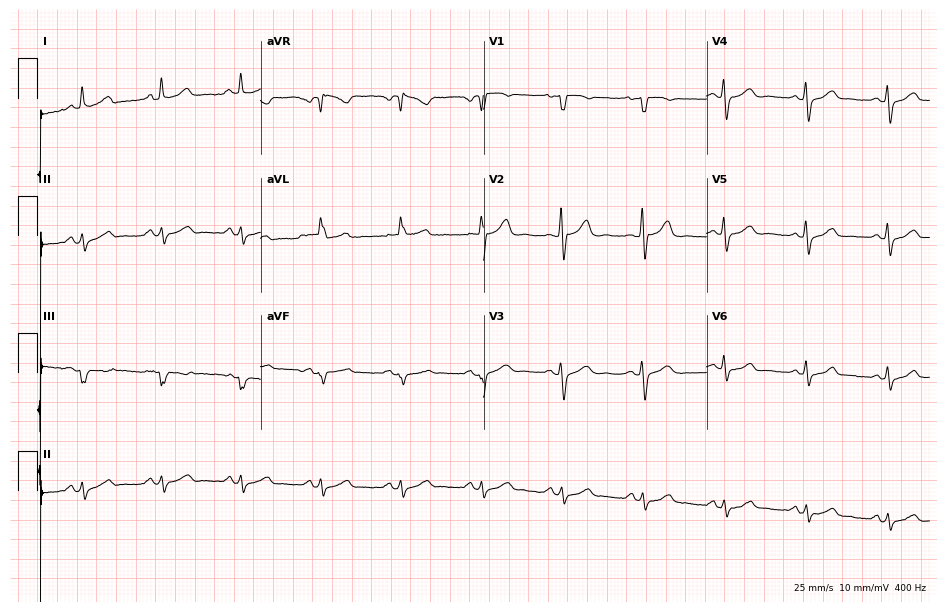
12-lead ECG from a 65-year-old woman. No first-degree AV block, right bundle branch block, left bundle branch block, sinus bradycardia, atrial fibrillation or sinus tachycardia recorded for this tracing.